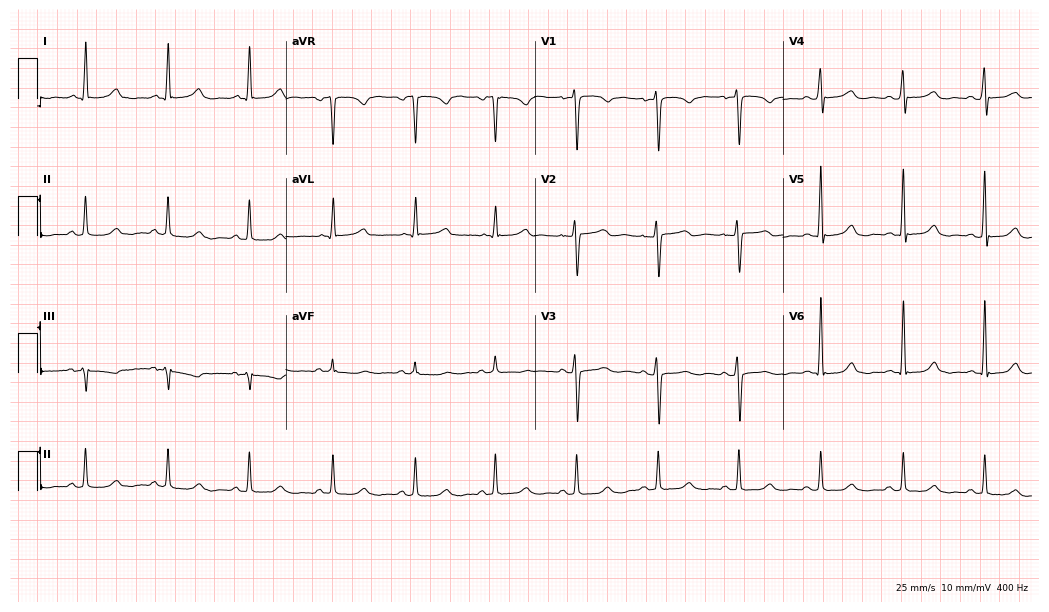
ECG — a woman, 53 years old. Screened for six findings — first-degree AV block, right bundle branch block (RBBB), left bundle branch block (LBBB), sinus bradycardia, atrial fibrillation (AF), sinus tachycardia — none is recorded. Other findings, if any, are not listed.